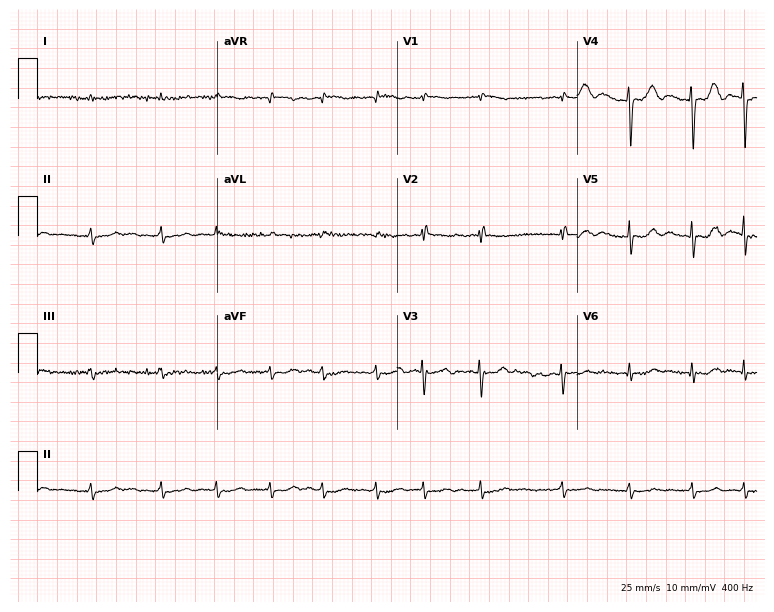
Electrocardiogram, a male patient, 83 years old. Of the six screened findings (first-degree AV block, right bundle branch block, left bundle branch block, sinus bradycardia, atrial fibrillation, sinus tachycardia), none is recorded. Findings outside these six are not listed.